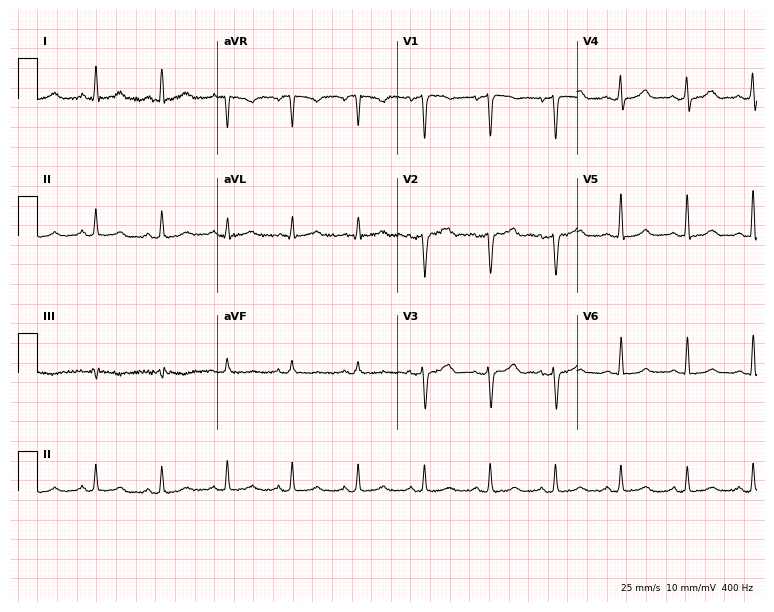
12-lead ECG from a woman, 71 years old. Labelled as a normal ECG.